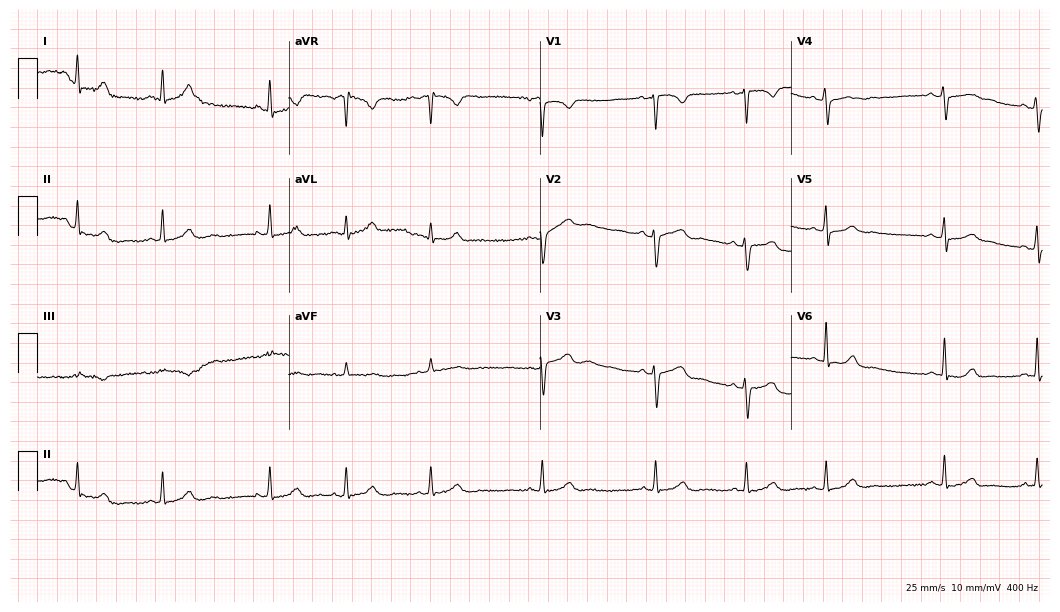
Electrocardiogram (10.2-second recording at 400 Hz), a 27-year-old woman. Overall reading on record: normal ECG.